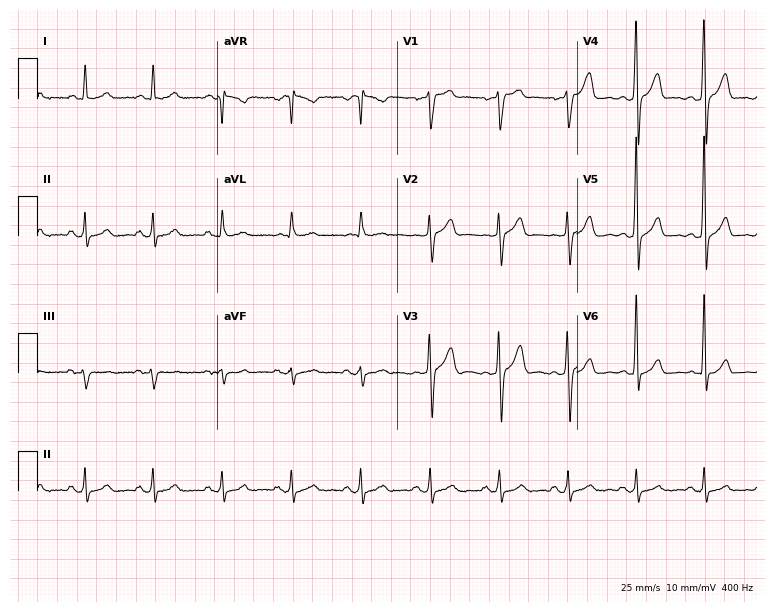
12-lead ECG (7.3-second recording at 400 Hz) from a 64-year-old male. Labelled as a normal ECG.